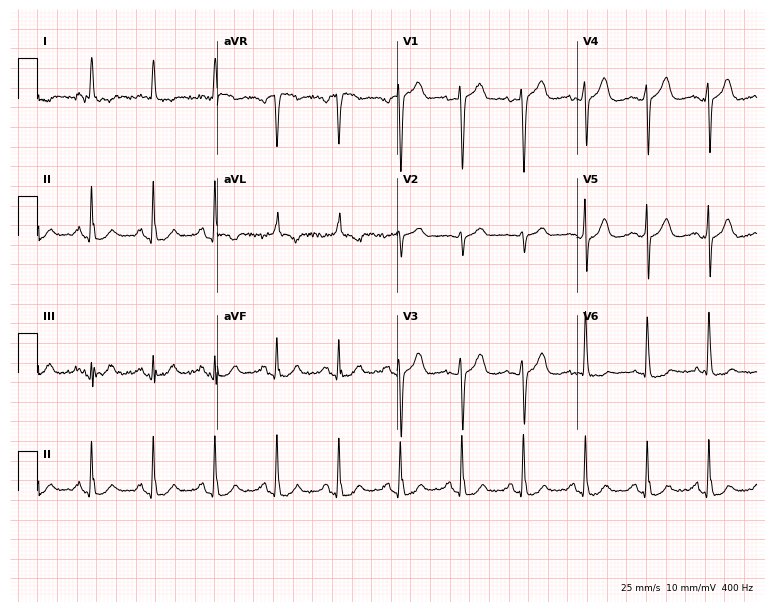
Resting 12-lead electrocardiogram (7.3-second recording at 400 Hz). Patient: a 62-year-old female. None of these six findings is recorded: first-degree AV block, right bundle branch block, left bundle branch block, sinus bradycardia, atrial fibrillation, sinus tachycardia. Only these six findings were labelled.